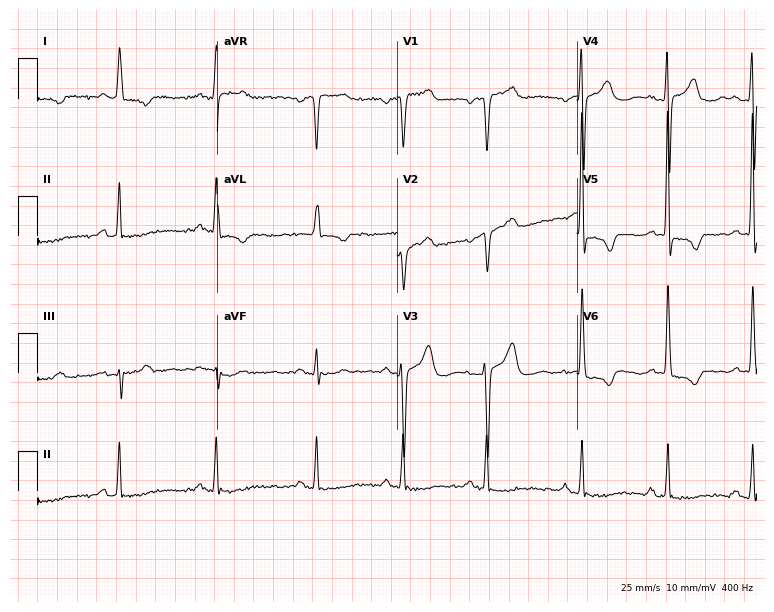
Electrocardiogram, a 78-year-old woman. Of the six screened findings (first-degree AV block, right bundle branch block (RBBB), left bundle branch block (LBBB), sinus bradycardia, atrial fibrillation (AF), sinus tachycardia), none is recorded. Findings outside these six are not listed.